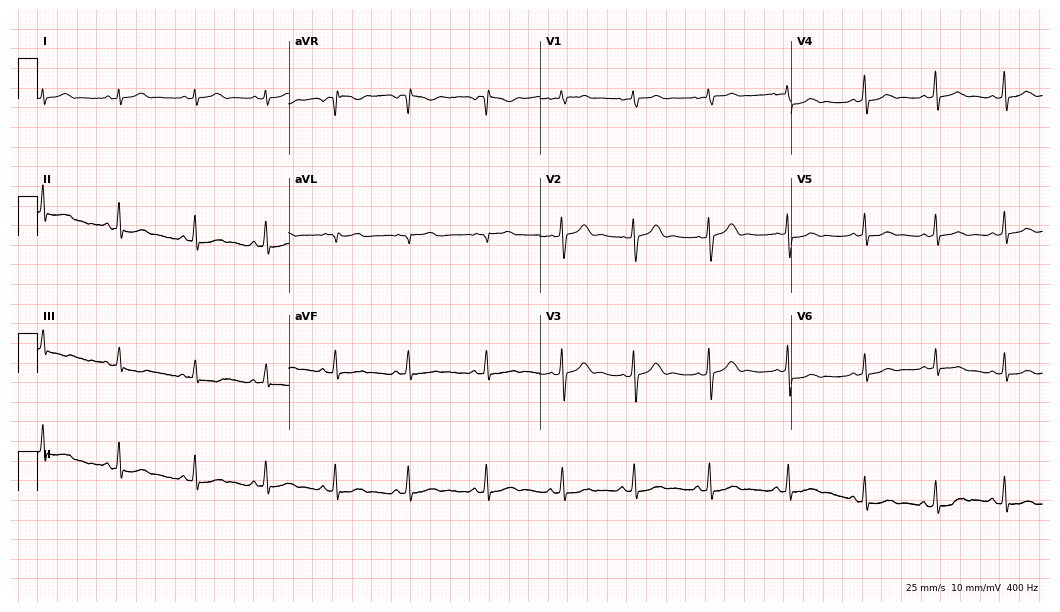
12-lead ECG from a 24-year-old female patient. Recorded interpretation: within normal limits.